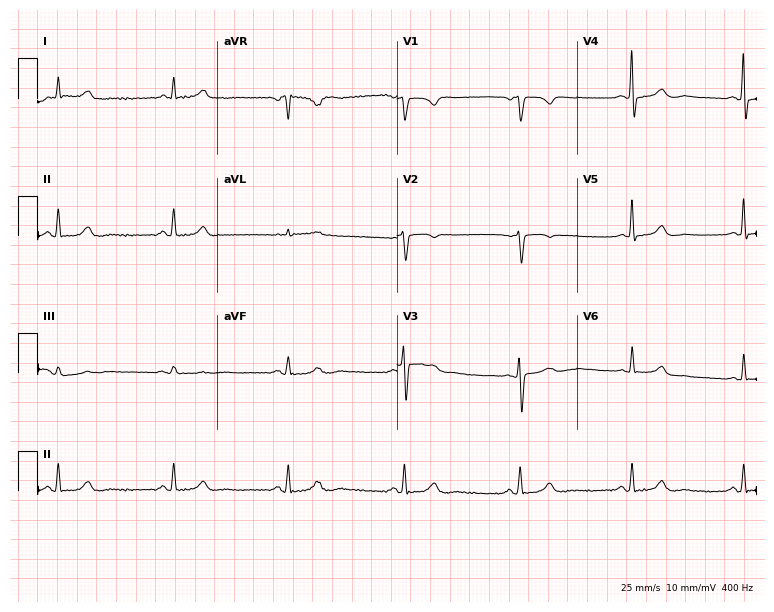
Resting 12-lead electrocardiogram. Patient: a woman, 65 years old. None of these six findings is recorded: first-degree AV block, right bundle branch block (RBBB), left bundle branch block (LBBB), sinus bradycardia, atrial fibrillation (AF), sinus tachycardia. Only these six findings were labelled.